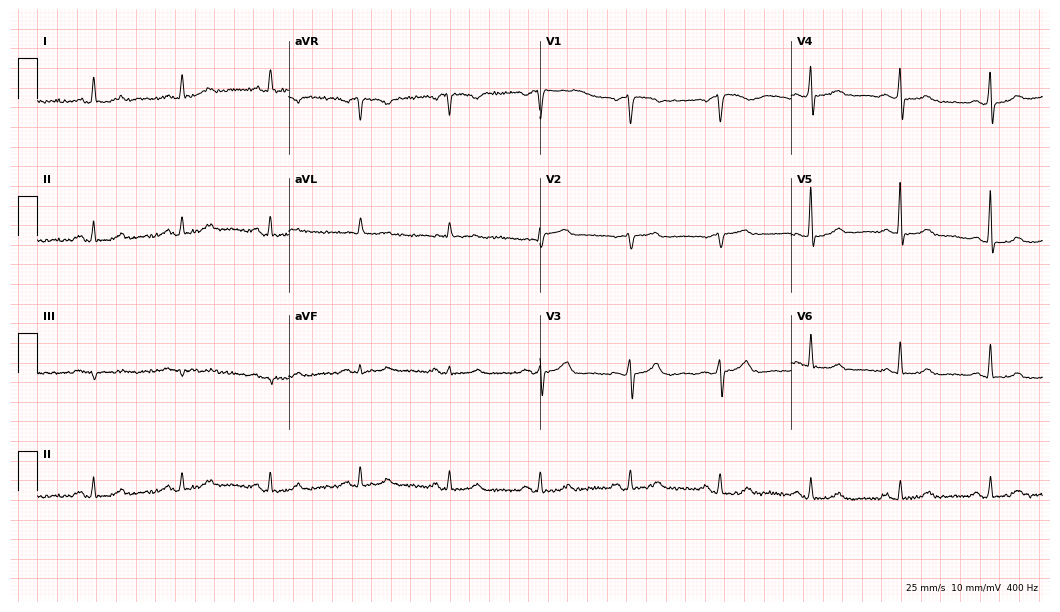
Standard 12-lead ECG recorded from a male, 72 years old (10.2-second recording at 400 Hz). Read as a normal ECG.